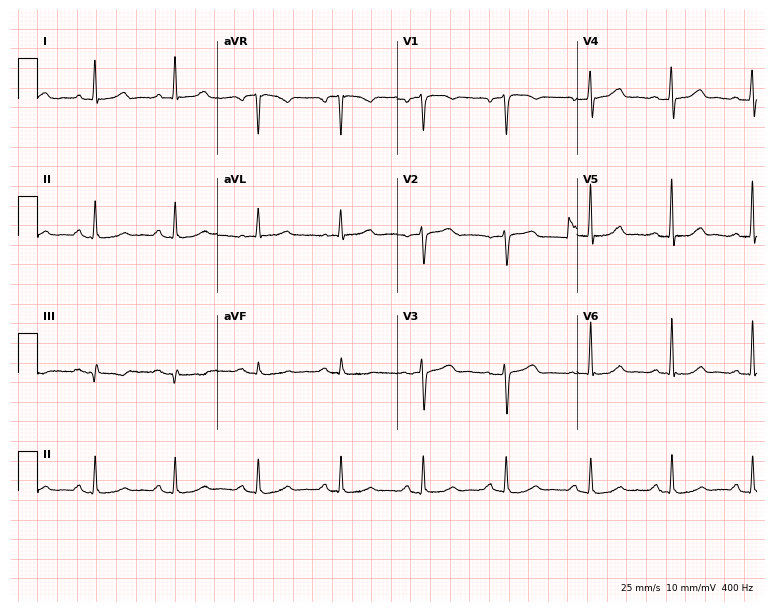
12-lead ECG from a 62-year-old woman. Screened for six findings — first-degree AV block, right bundle branch block, left bundle branch block, sinus bradycardia, atrial fibrillation, sinus tachycardia — none is recorded. Only these six findings were labelled.